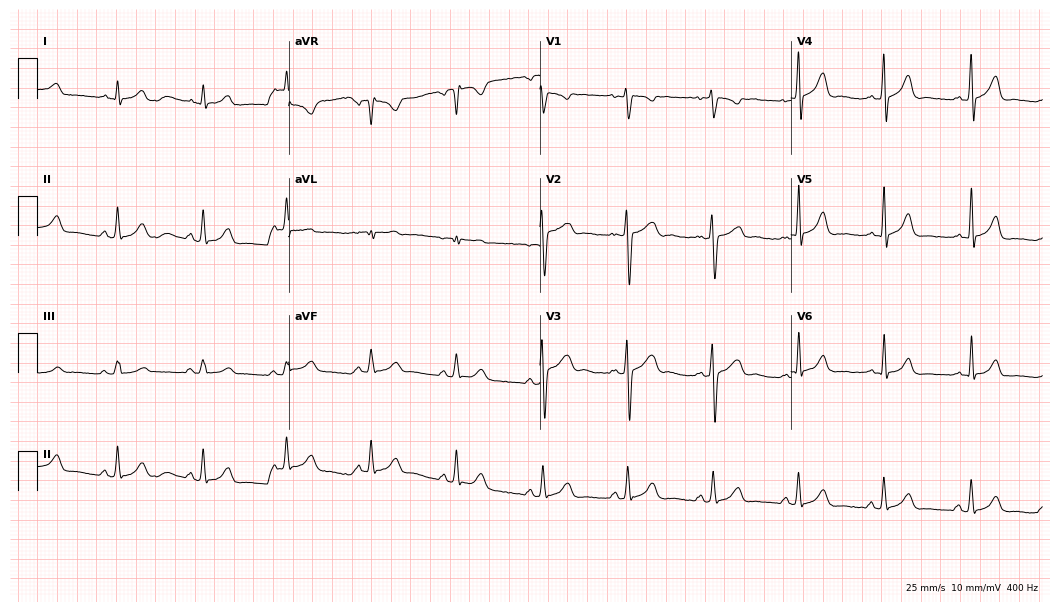
12-lead ECG from a woman, 27 years old. Labelled as a normal ECG.